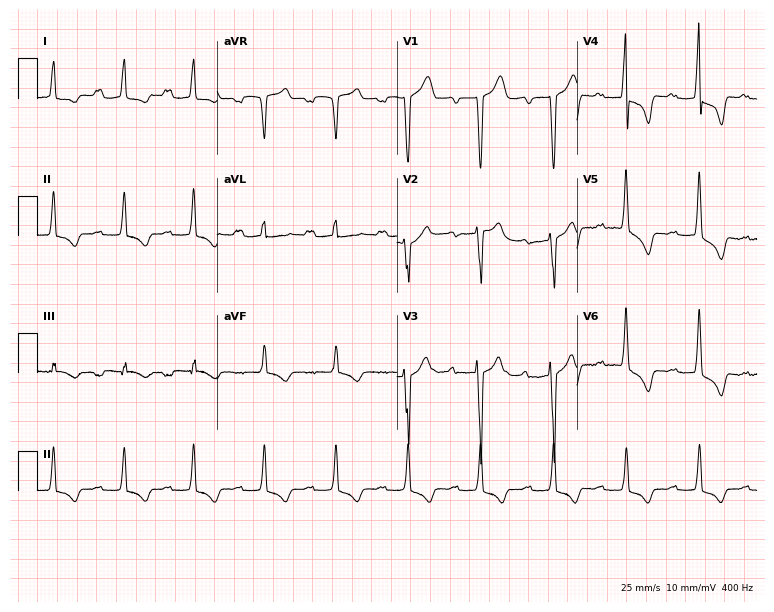
Resting 12-lead electrocardiogram (7.3-second recording at 400 Hz). Patient: a 73-year-old male. The tracing shows first-degree AV block.